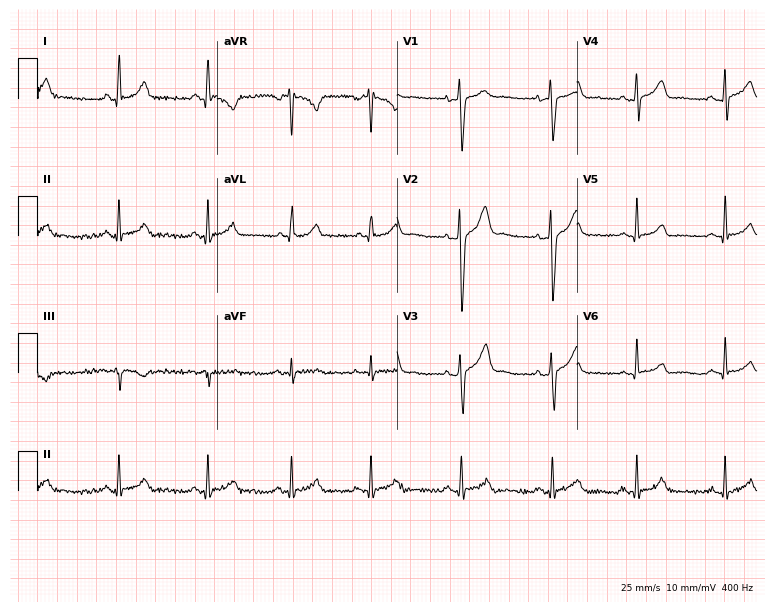
Electrocardiogram, a man, 33 years old. Overall reading on record: normal ECG.